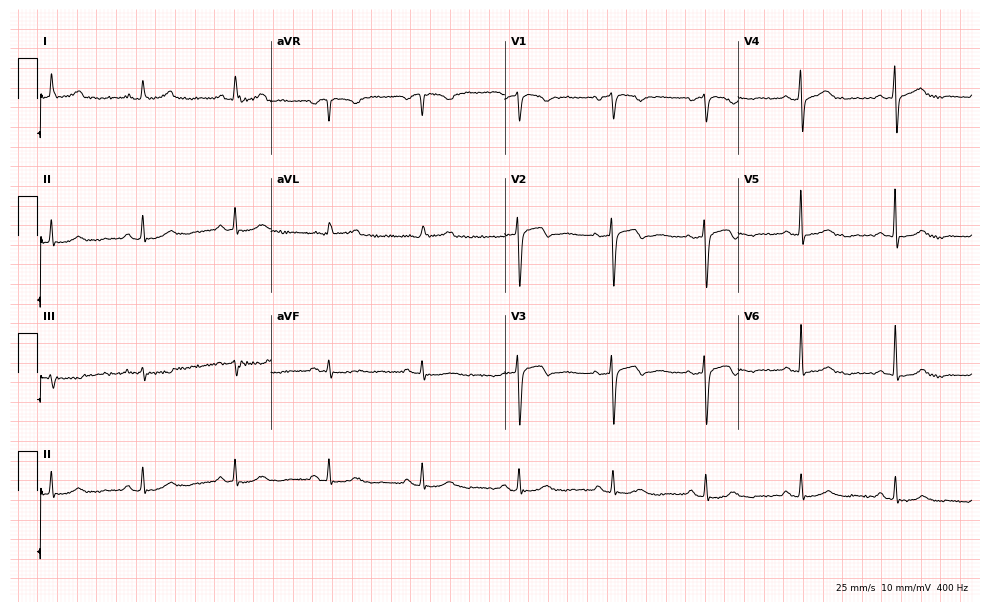
ECG (9.5-second recording at 400 Hz) — a 73-year-old woman. Screened for six findings — first-degree AV block, right bundle branch block (RBBB), left bundle branch block (LBBB), sinus bradycardia, atrial fibrillation (AF), sinus tachycardia — none is recorded.